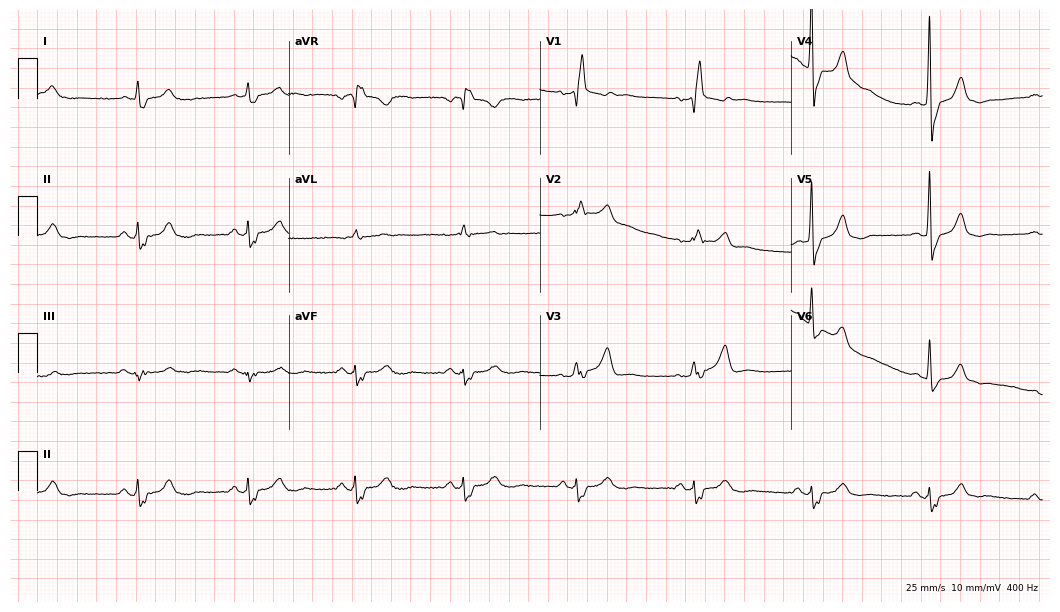
12-lead ECG from a male, 66 years old. Findings include right bundle branch block.